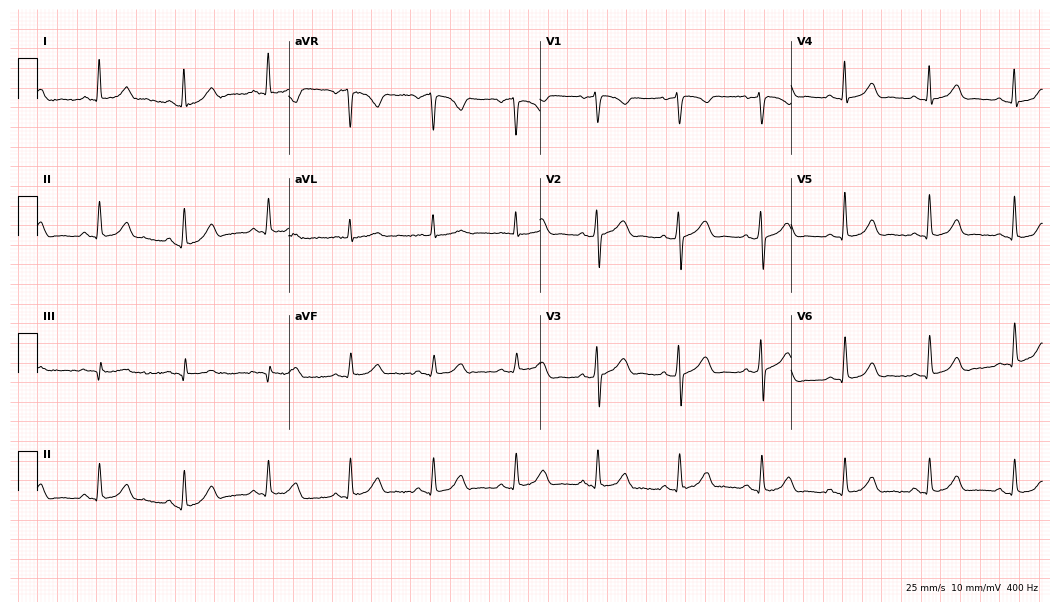
Resting 12-lead electrocardiogram (10.2-second recording at 400 Hz). Patient: a female, 54 years old. None of these six findings is recorded: first-degree AV block, right bundle branch block, left bundle branch block, sinus bradycardia, atrial fibrillation, sinus tachycardia. Findings outside these six are not listed.